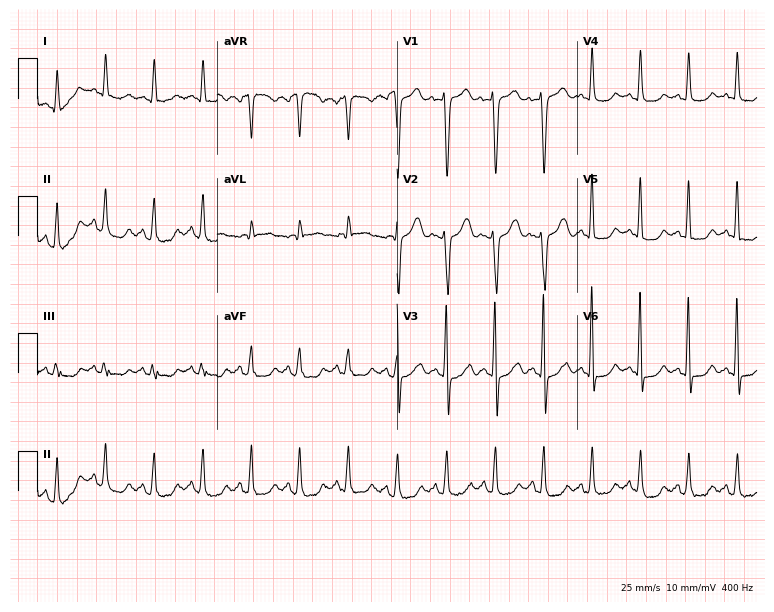
12-lead ECG (7.3-second recording at 400 Hz) from an 82-year-old female patient. Findings include sinus tachycardia (a sinus rate of 100 beats per minute or more).